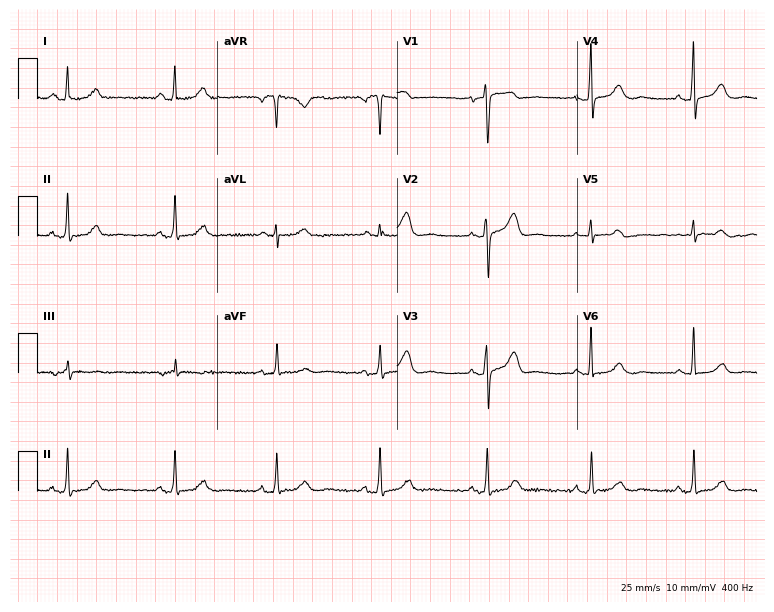
Electrocardiogram, a 65-year-old female. Overall reading on record: normal ECG.